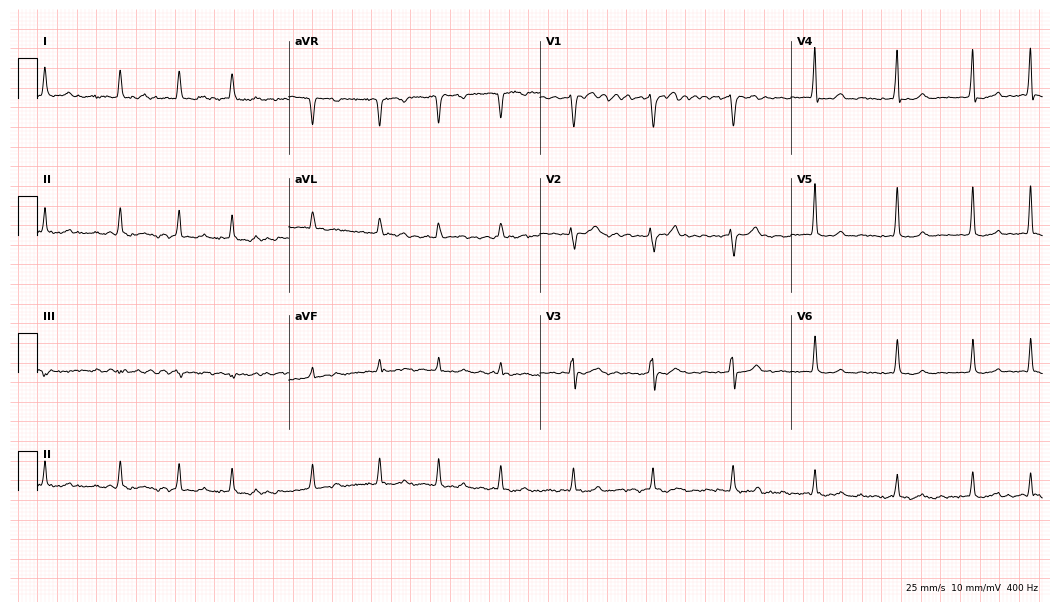
ECG (10.2-second recording at 400 Hz) — a woman, 67 years old. Findings include atrial fibrillation.